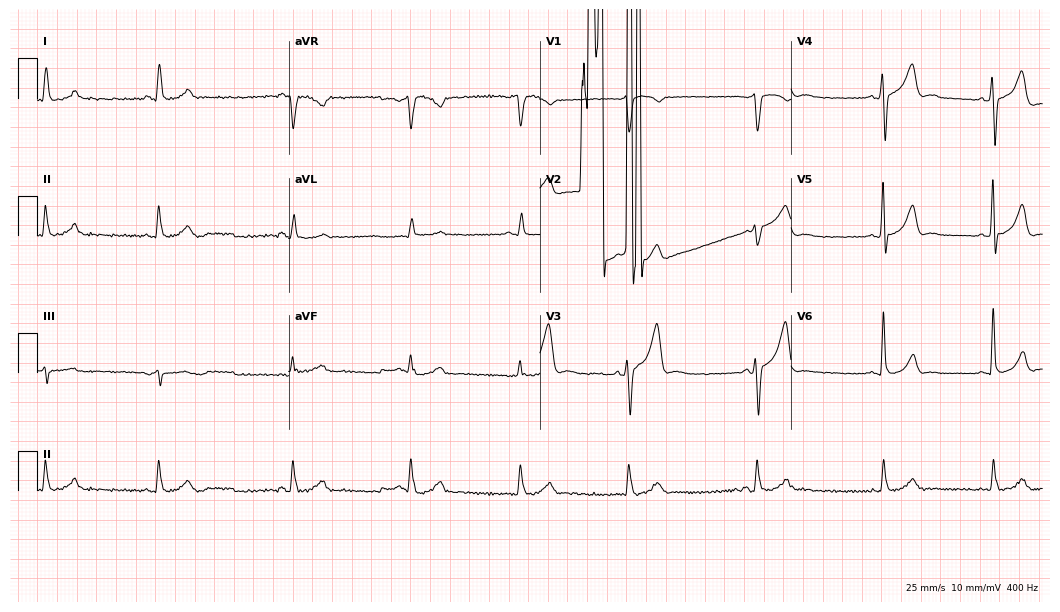
12-lead ECG (10.2-second recording at 400 Hz) from a 64-year-old male. Screened for six findings — first-degree AV block, right bundle branch block, left bundle branch block, sinus bradycardia, atrial fibrillation, sinus tachycardia — none is recorded. Only these six findings were labelled.